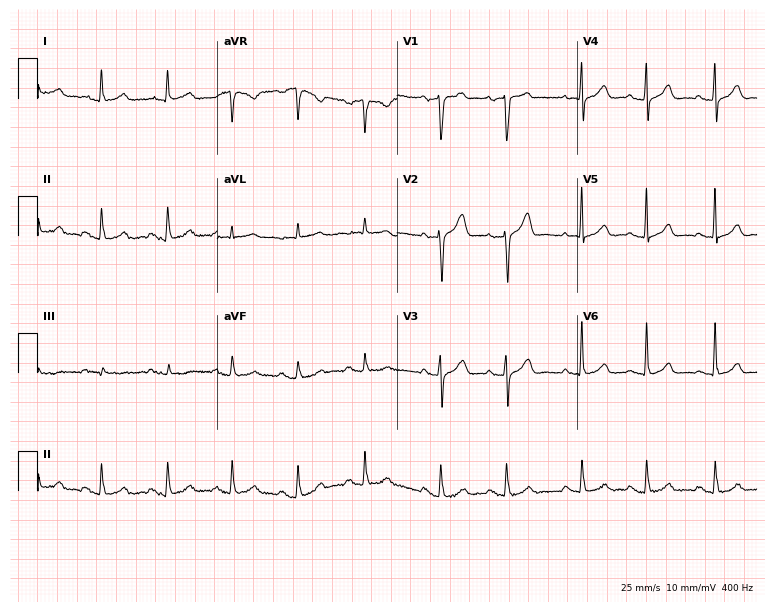
12-lead ECG from a man, 60 years old. Labelled as a normal ECG.